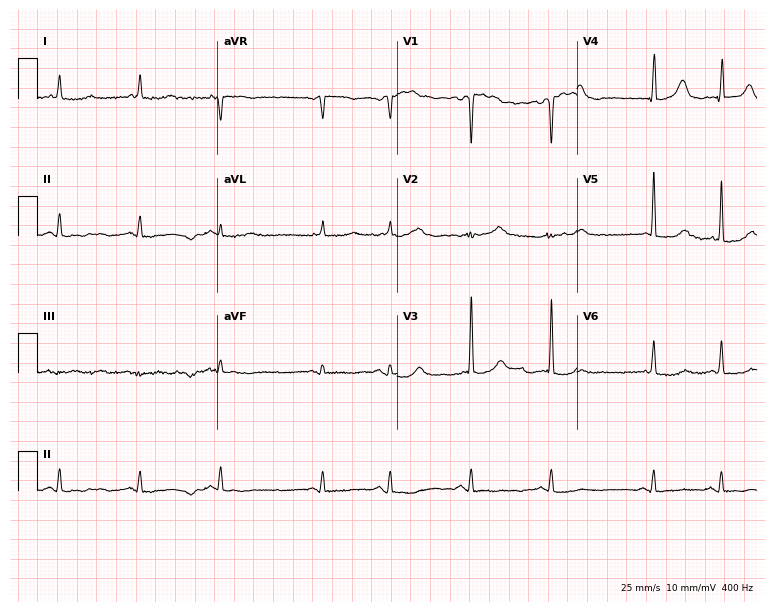
Electrocardiogram, a male patient, 83 years old. Of the six screened findings (first-degree AV block, right bundle branch block (RBBB), left bundle branch block (LBBB), sinus bradycardia, atrial fibrillation (AF), sinus tachycardia), none is recorded.